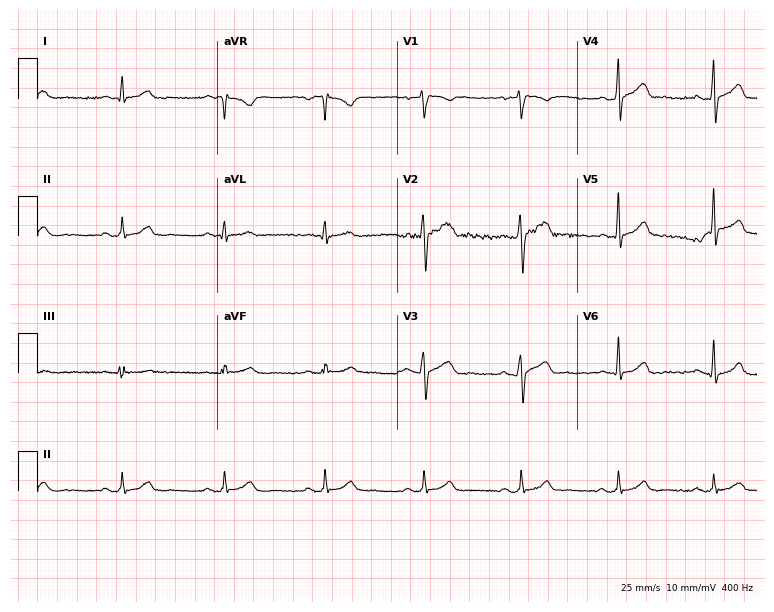
12-lead ECG from a 40-year-old male patient (7.3-second recording at 400 Hz). Recorded interpretation: within normal limits.